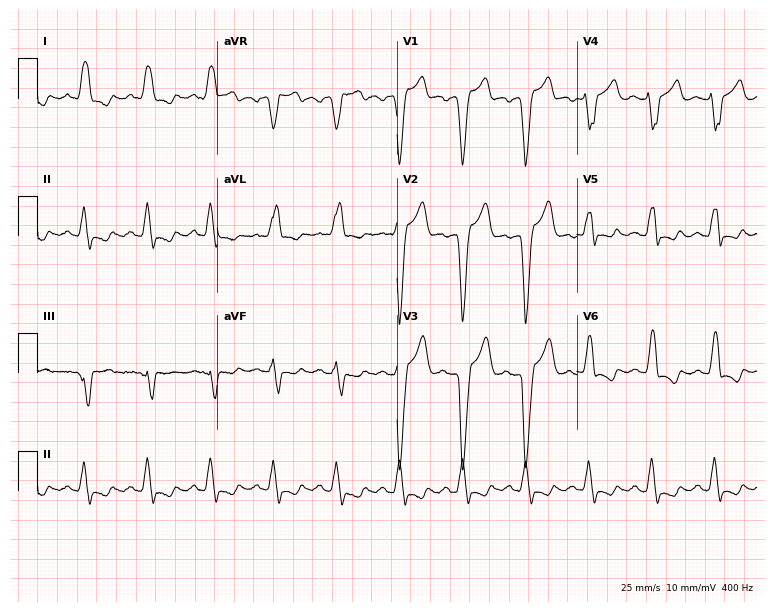
Resting 12-lead electrocardiogram. Patient: a male, 56 years old. The tracing shows left bundle branch block.